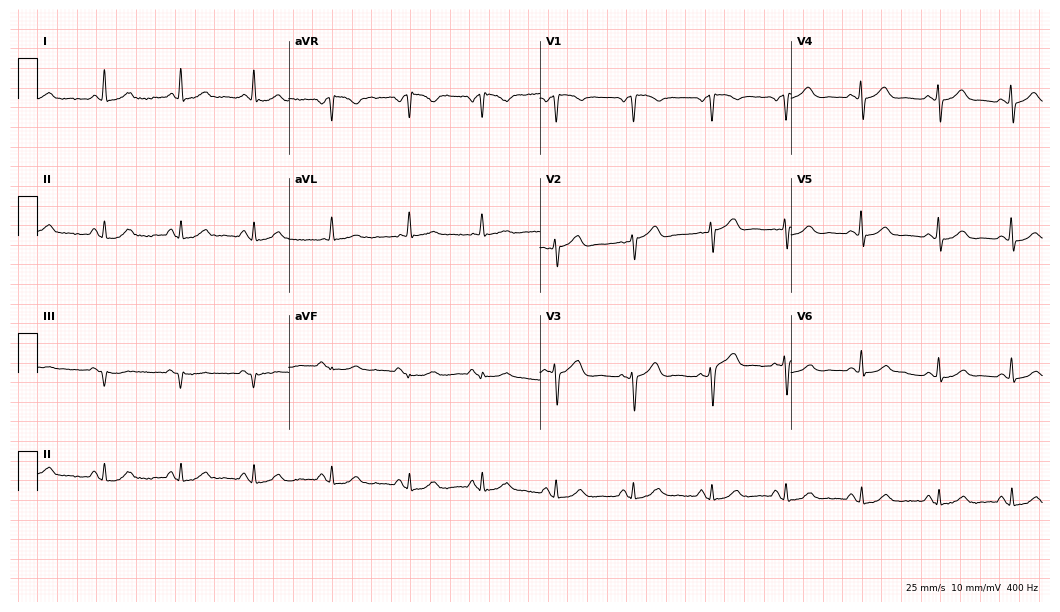
Standard 12-lead ECG recorded from a male patient, 67 years old (10.2-second recording at 400 Hz). None of these six findings is recorded: first-degree AV block, right bundle branch block, left bundle branch block, sinus bradycardia, atrial fibrillation, sinus tachycardia.